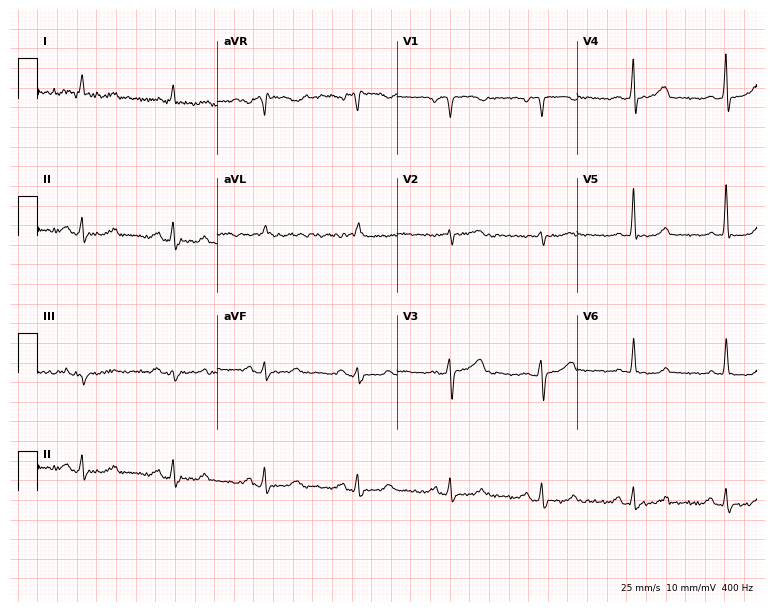
12-lead ECG from a male patient, 73 years old (7.3-second recording at 400 Hz). No first-degree AV block, right bundle branch block, left bundle branch block, sinus bradycardia, atrial fibrillation or sinus tachycardia recorded for this tracing.